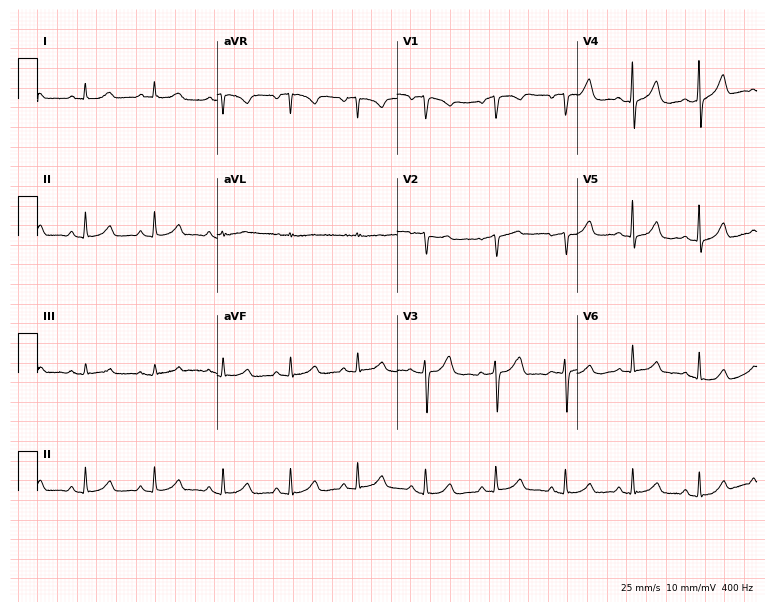
12-lead ECG from a woman, 48 years old. Labelled as a normal ECG.